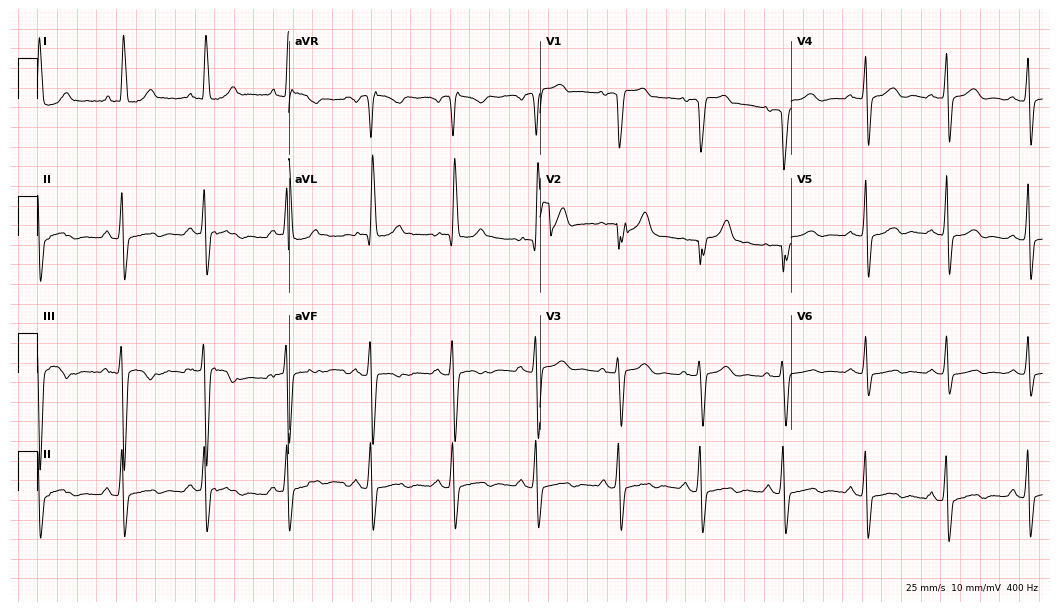
Resting 12-lead electrocardiogram. Patient: a woman, 73 years old. None of these six findings is recorded: first-degree AV block, right bundle branch block, left bundle branch block, sinus bradycardia, atrial fibrillation, sinus tachycardia.